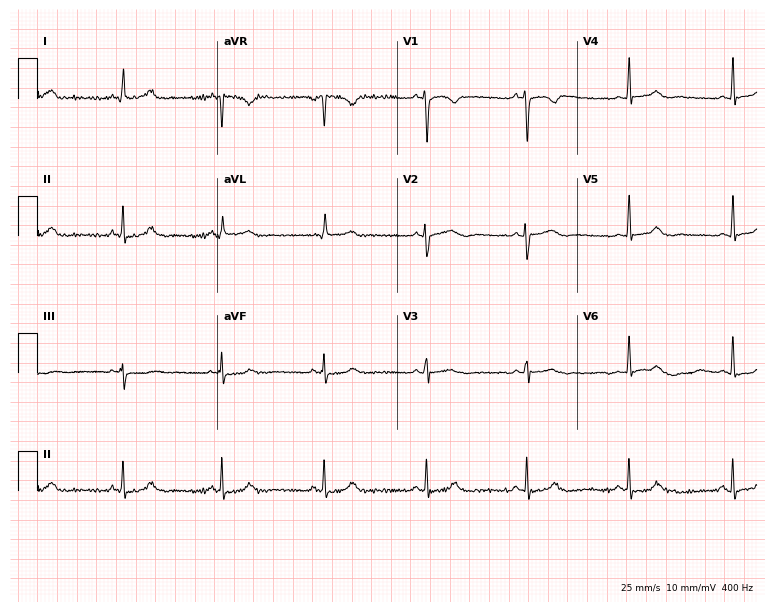
Electrocardiogram (7.3-second recording at 400 Hz), a female, 42 years old. Of the six screened findings (first-degree AV block, right bundle branch block (RBBB), left bundle branch block (LBBB), sinus bradycardia, atrial fibrillation (AF), sinus tachycardia), none is recorded. Findings outside these six are not listed.